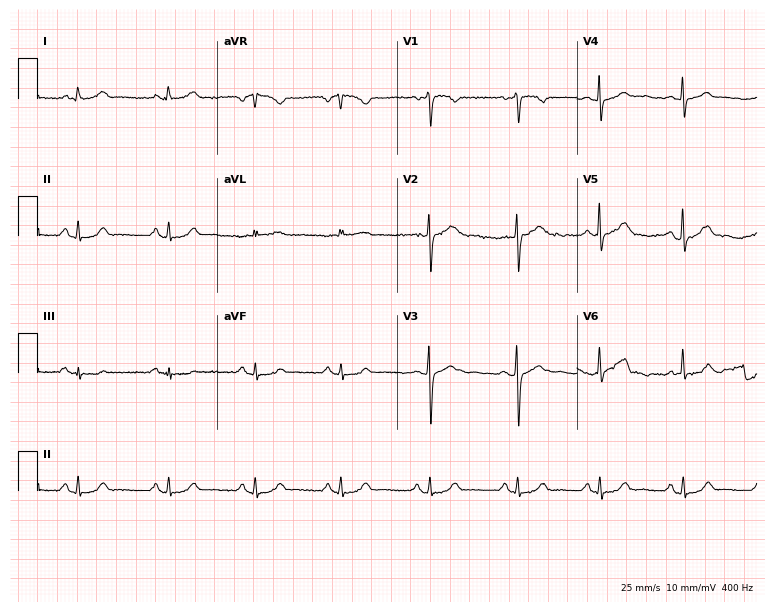
ECG (7.3-second recording at 400 Hz) — a 55-year-old woman. Labelled as a normal ECG.